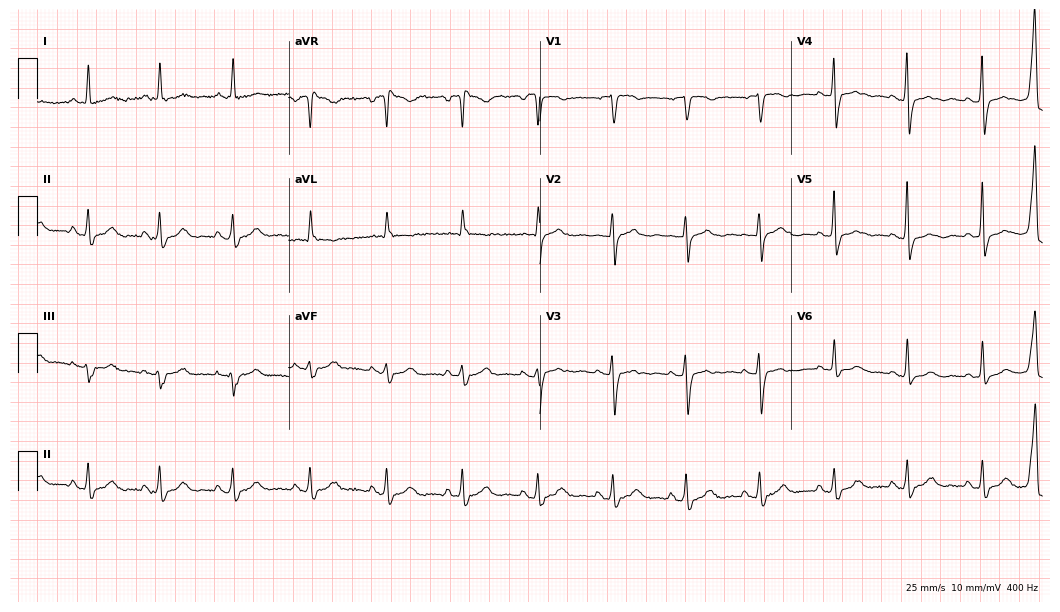
Electrocardiogram, a 76-year-old woman. Of the six screened findings (first-degree AV block, right bundle branch block, left bundle branch block, sinus bradycardia, atrial fibrillation, sinus tachycardia), none is recorded. Only these six findings were labelled.